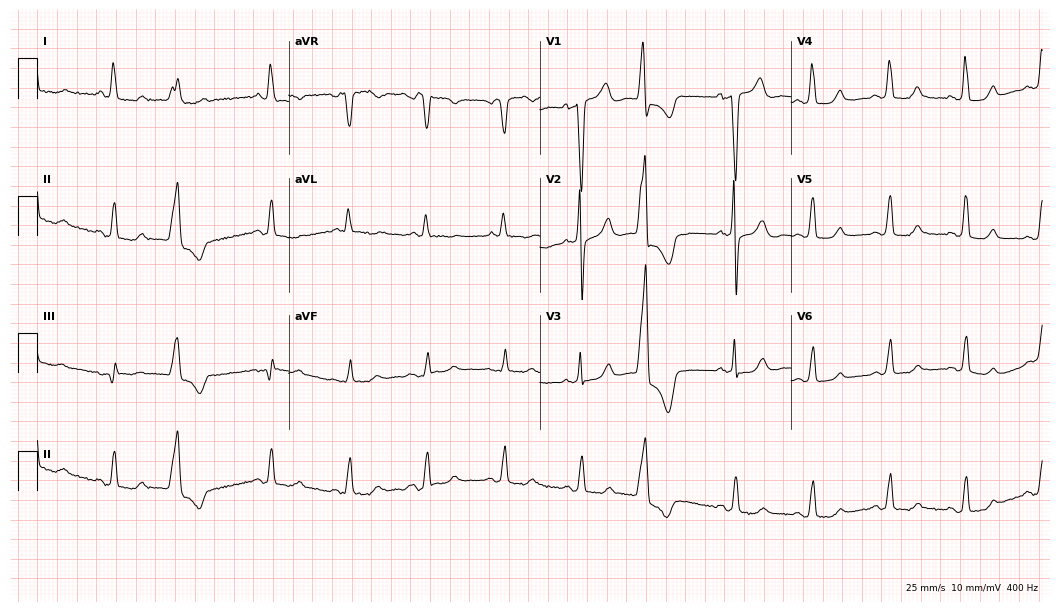
12-lead ECG from an 80-year-old female patient. Screened for six findings — first-degree AV block, right bundle branch block, left bundle branch block, sinus bradycardia, atrial fibrillation, sinus tachycardia — none is recorded.